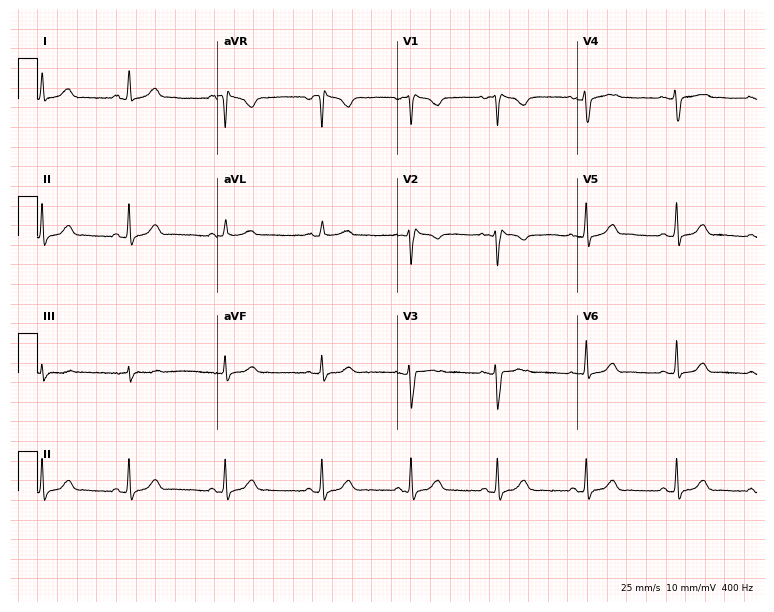
12-lead ECG from a female, 35 years old. Labelled as a normal ECG.